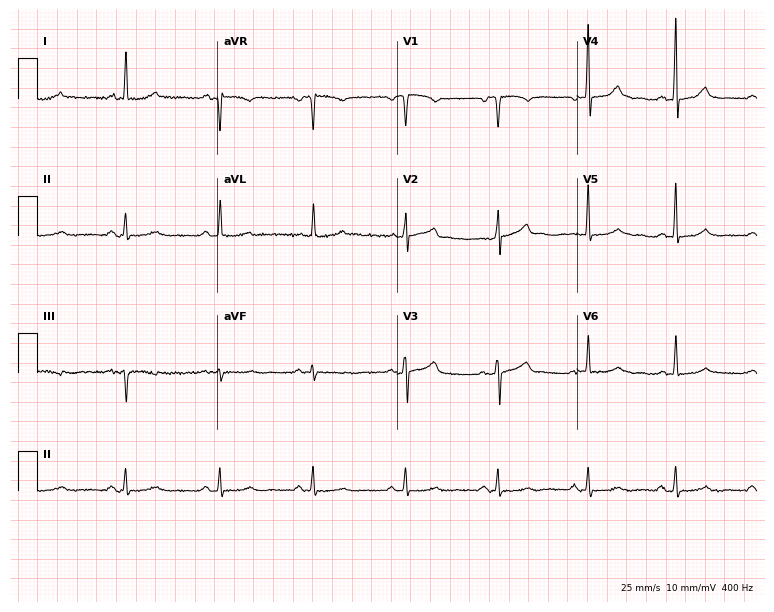
ECG — a female, 68 years old. Labelled as a normal ECG.